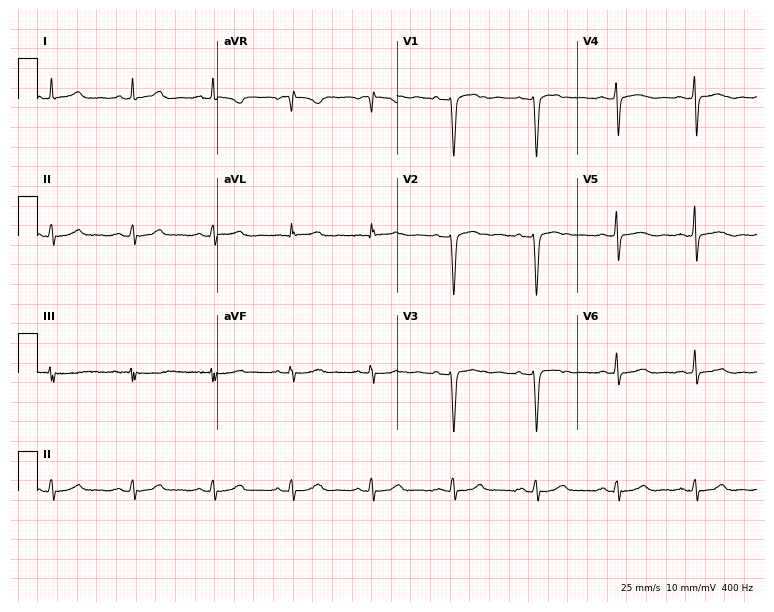
Electrocardiogram (7.3-second recording at 400 Hz), a female patient, 40 years old. Of the six screened findings (first-degree AV block, right bundle branch block, left bundle branch block, sinus bradycardia, atrial fibrillation, sinus tachycardia), none is recorded.